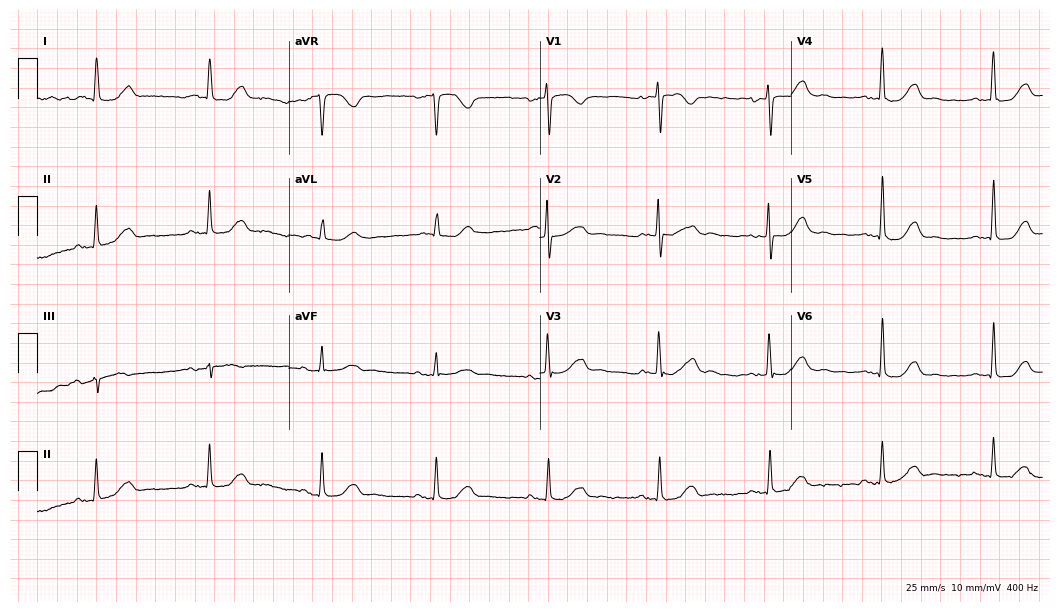
Resting 12-lead electrocardiogram. Patient: a female, 80 years old. None of these six findings is recorded: first-degree AV block, right bundle branch block, left bundle branch block, sinus bradycardia, atrial fibrillation, sinus tachycardia.